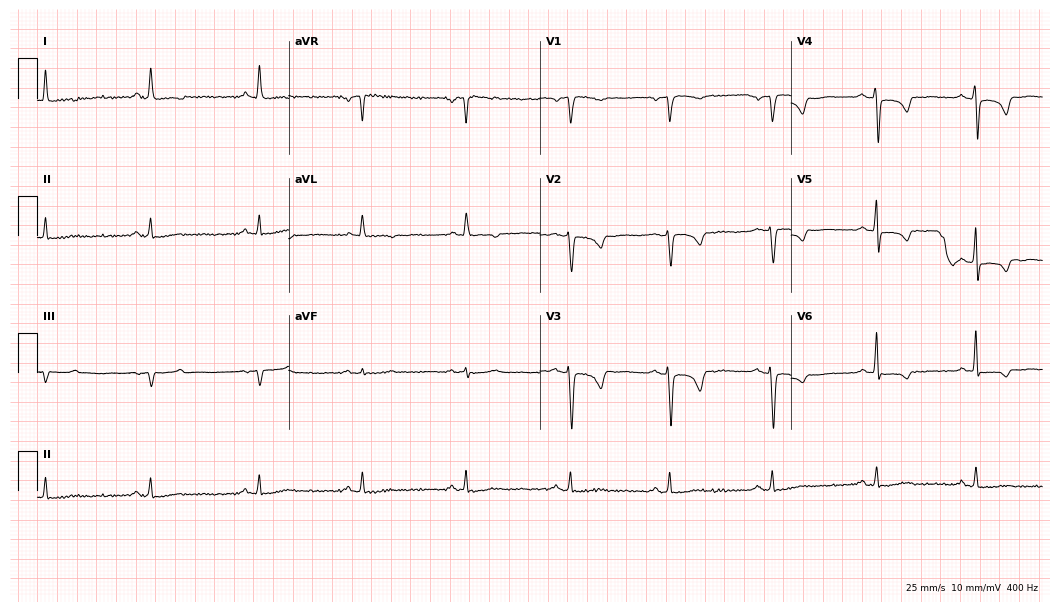
Standard 12-lead ECG recorded from a 56-year-old female patient (10.2-second recording at 400 Hz). None of these six findings is recorded: first-degree AV block, right bundle branch block, left bundle branch block, sinus bradycardia, atrial fibrillation, sinus tachycardia. Only these six findings were labelled.